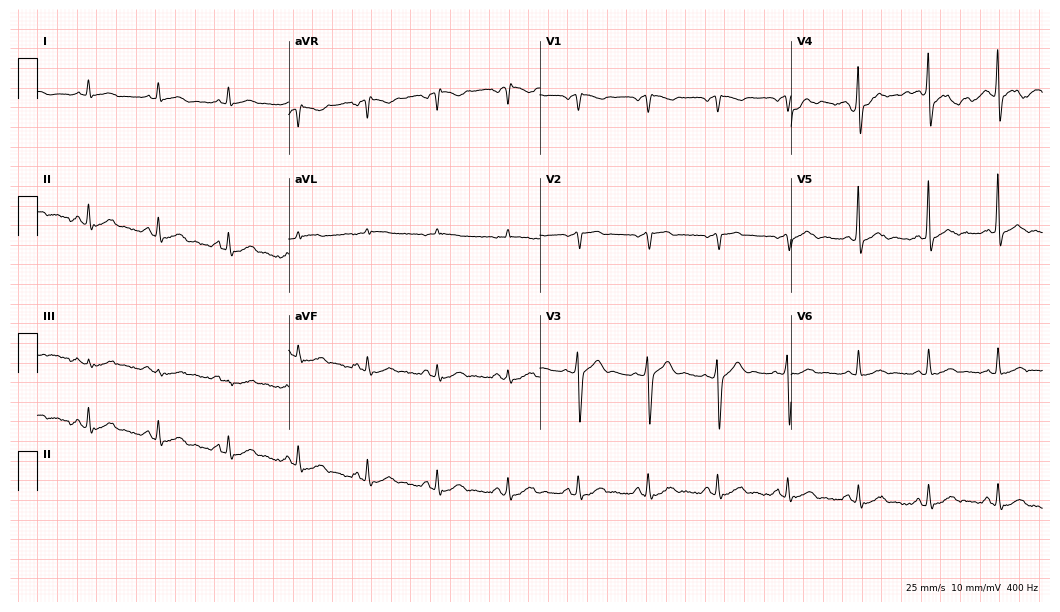
12-lead ECG from an 81-year-old male patient (10.2-second recording at 400 Hz). Recorded interpretation: within normal limits.